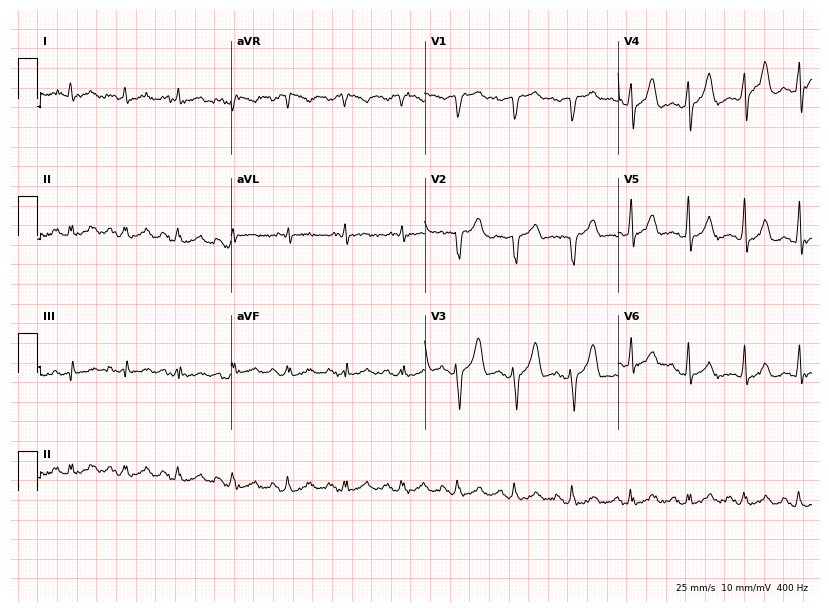
12-lead ECG from a male patient, 65 years old. Findings include sinus tachycardia (a sinus rate of 100 beats per minute or more).